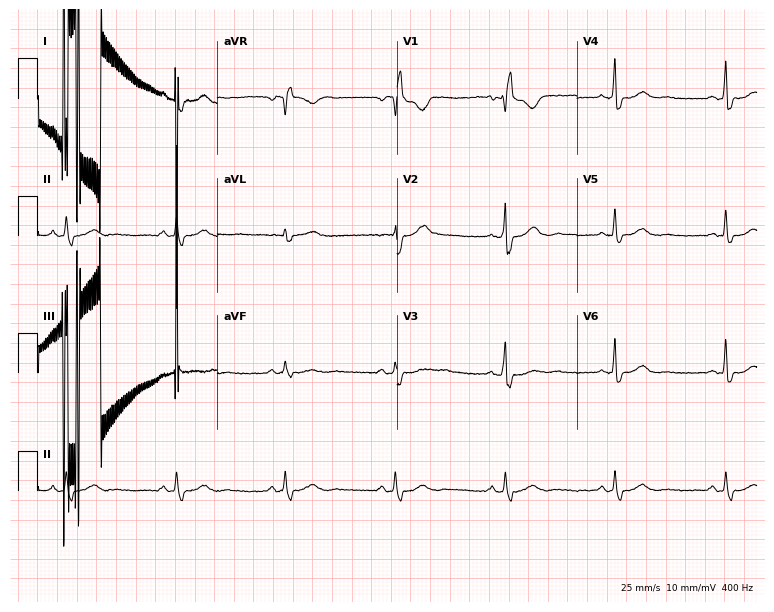
ECG — a 47-year-old woman. Findings include right bundle branch block (RBBB).